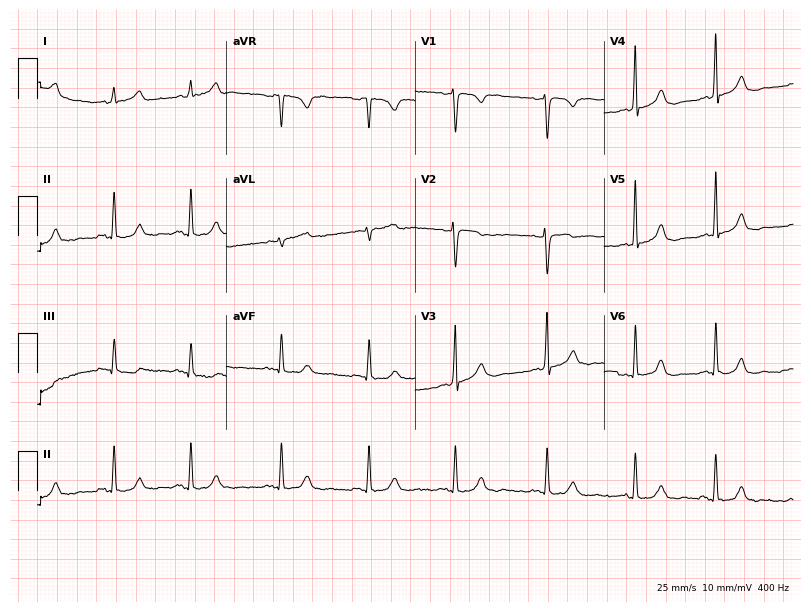
ECG (7.7-second recording at 400 Hz) — a female patient, 38 years old. Labelled as a normal ECG.